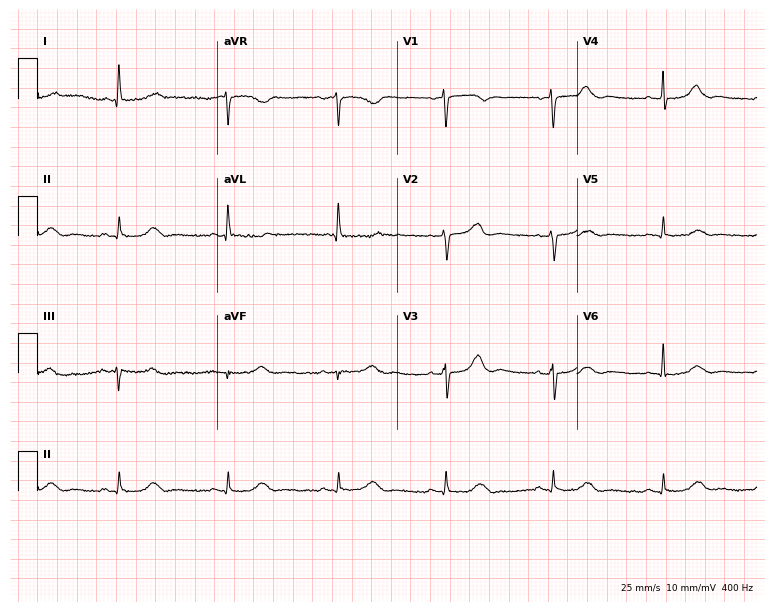
12-lead ECG from a female, 87 years old (7.3-second recording at 400 Hz). No first-degree AV block, right bundle branch block, left bundle branch block, sinus bradycardia, atrial fibrillation or sinus tachycardia recorded for this tracing. Only these six findings were labelled.